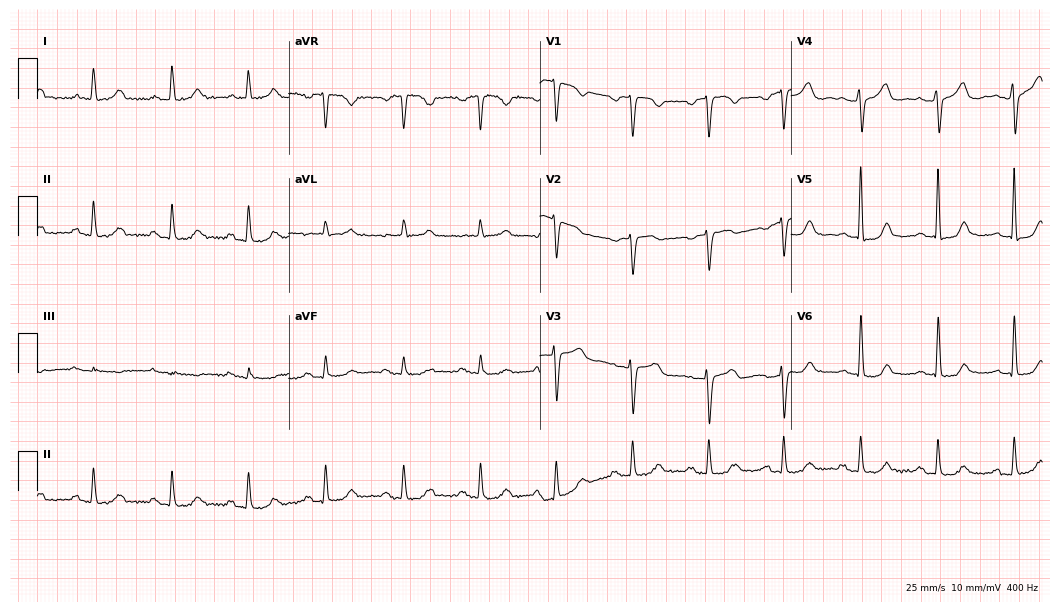
Standard 12-lead ECG recorded from a 73-year-old woman (10.2-second recording at 400 Hz). None of these six findings is recorded: first-degree AV block, right bundle branch block (RBBB), left bundle branch block (LBBB), sinus bradycardia, atrial fibrillation (AF), sinus tachycardia. Findings outside these six are not listed.